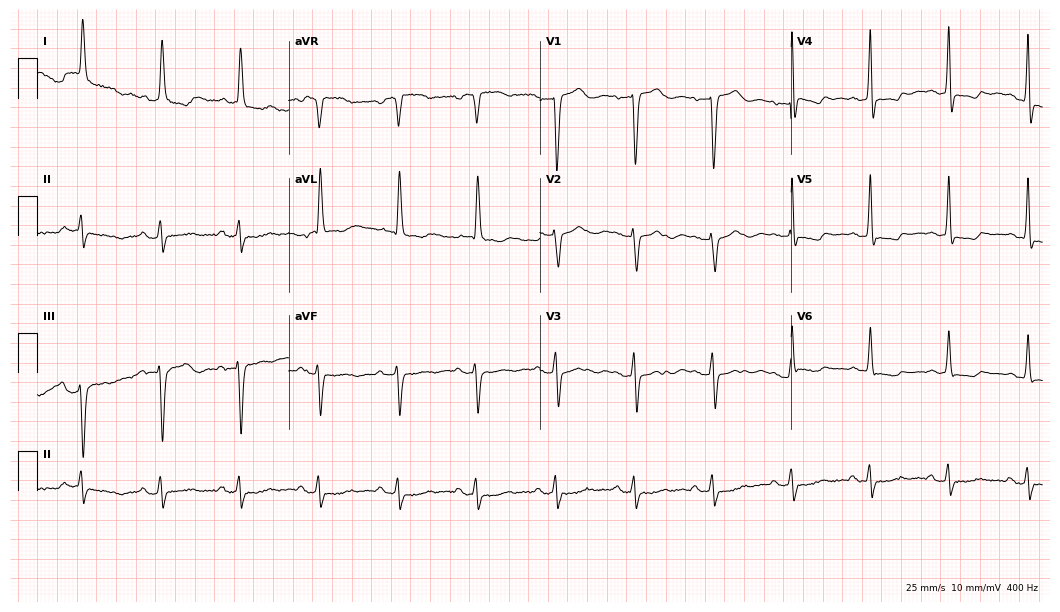
Standard 12-lead ECG recorded from a female patient, 79 years old (10.2-second recording at 400 Hz). None of these six findings is recorded: first-degree AV block, right bundle branch block, left bundle branch block, sinus bradycardia, atrial fibrillation, sinus tachycardia.